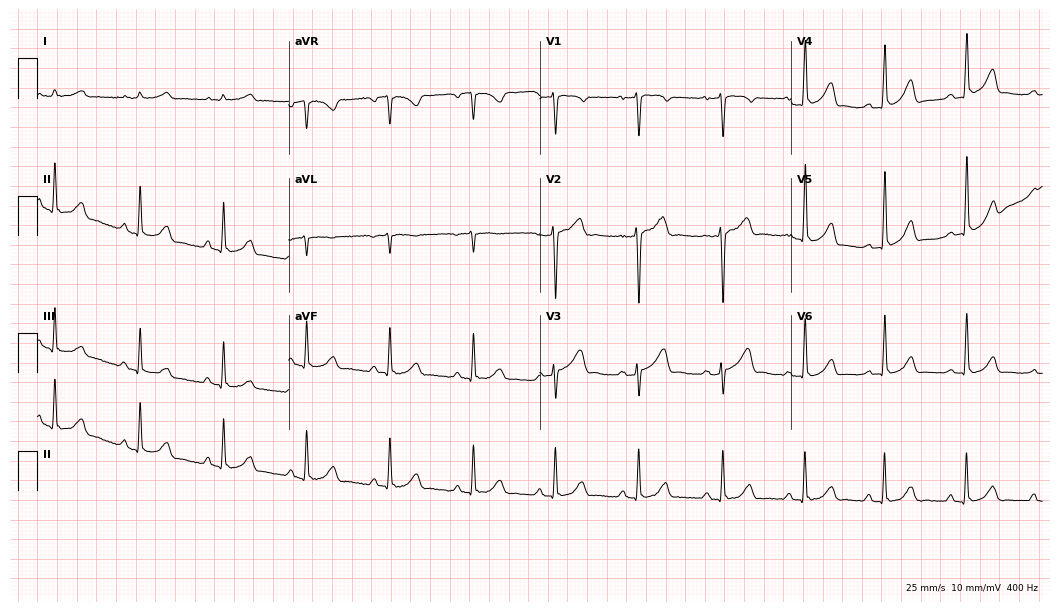
ECG (10.2-second recording at 400 Hz) — a 35-year-old male. Labelled as a normal ECG.